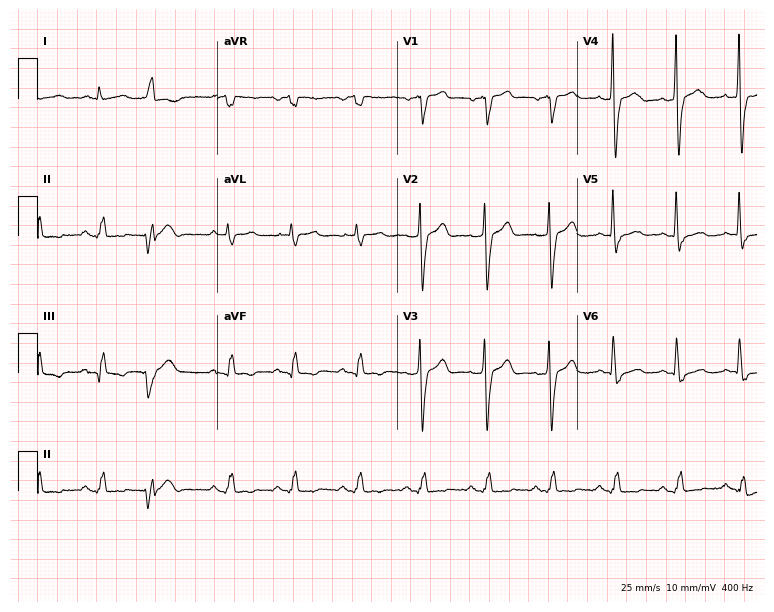
Resting 12-lead electrocardiogram (7.3-second recording at 400 Hz). Patient: a man, 81 years old. None of these six findings is recorded: first-degree AV block, right bundle branch block (RBBB), left bundle branch block (LBBB), sinus bradycardia, atrial fibrillation (AF), sinus tachycardia.